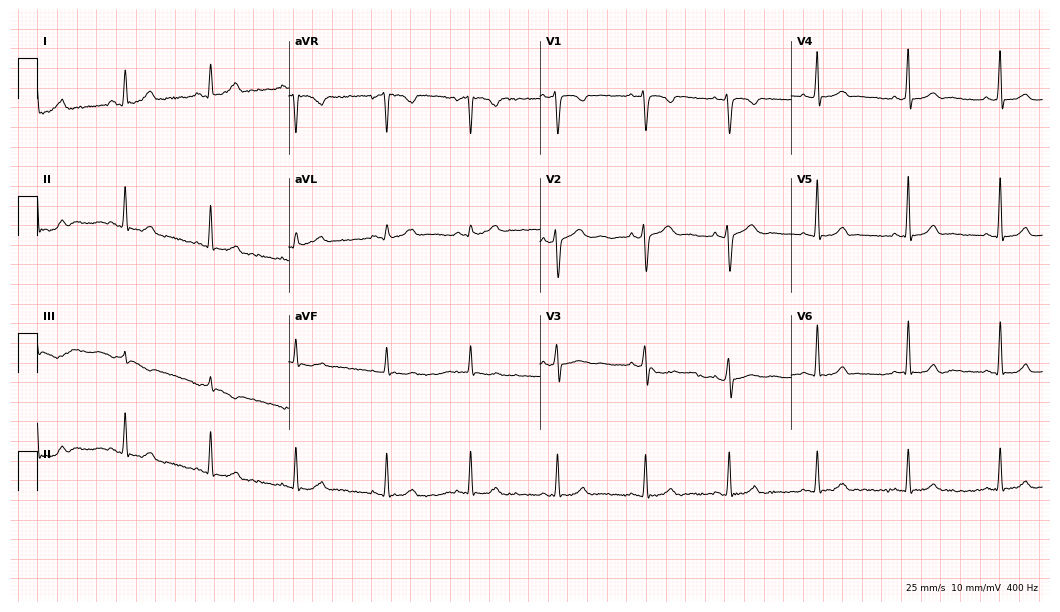
Standard 12-lead ECG recorded from a woman, 32 years old (10.2-second recording at 400 Hz). None of these six findings is recorded: first-degree AV block, right bundle branch block (RBBB), left bundle branch block (LBBB), sinus bradycardia, atrial fibrillation (AF), sinus tachycardia.